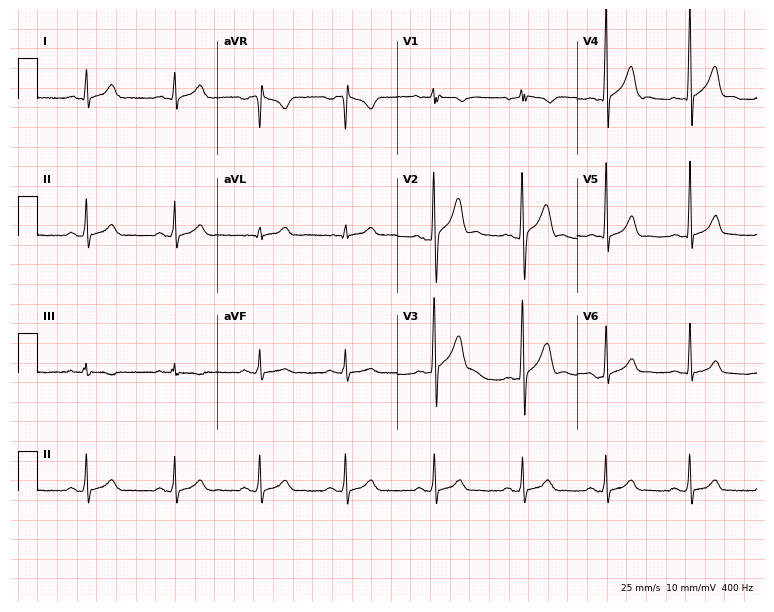
12-lead ECG from a man, 26 years old (7.3-second recording at 400 Hz). Recorded interpretation: within normal limits.